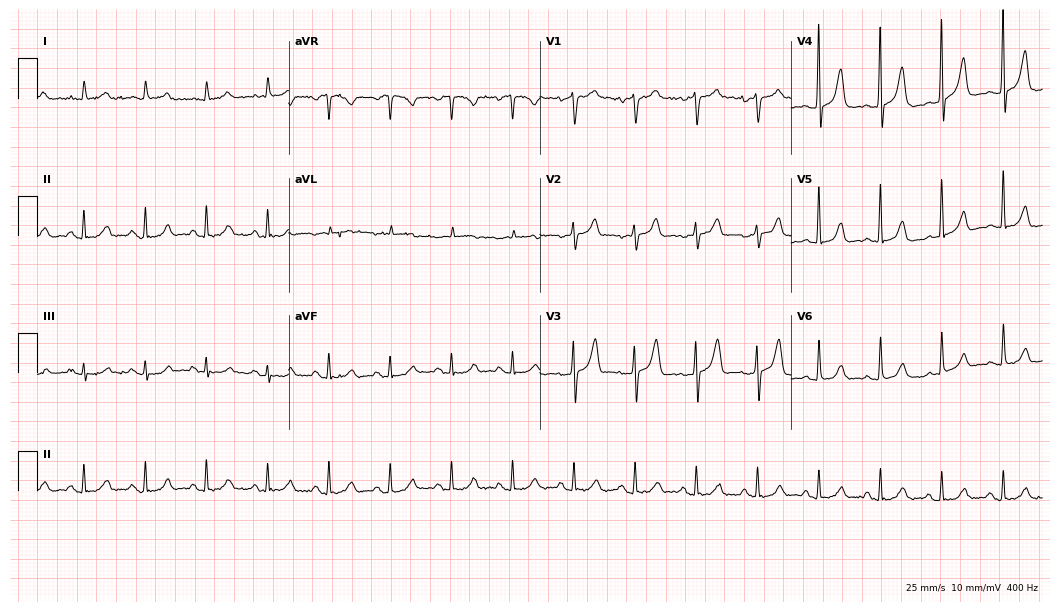
ECG (10.2-second recording at 400 Hz) — a 67-year-old woman. Screened for six findings — first-degree AV block, right bundle branch block, left bundle branch block, sinus bradycardia, atrial fibrillation, sinus tachycardia — none is recorded.